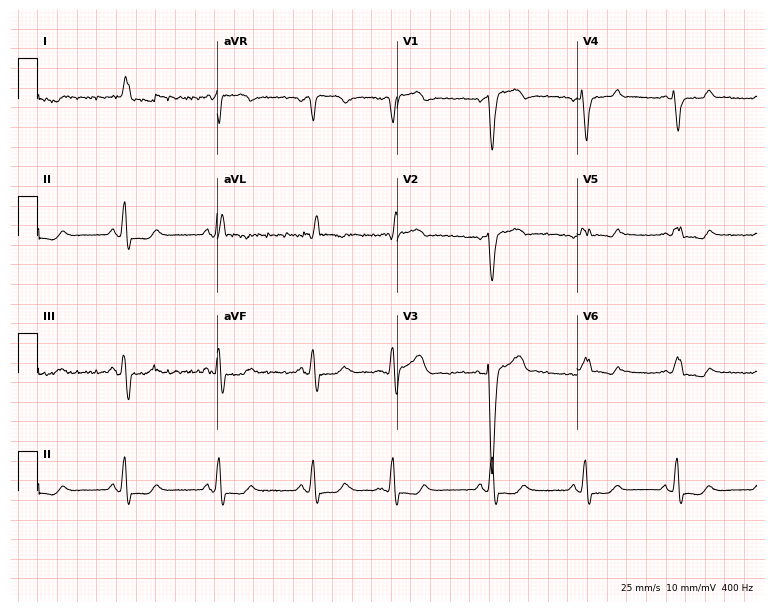
Standard 12-lead ECG recorded from a female patient, 73 years old. The tracing shows left bundle branch block (LBBB).